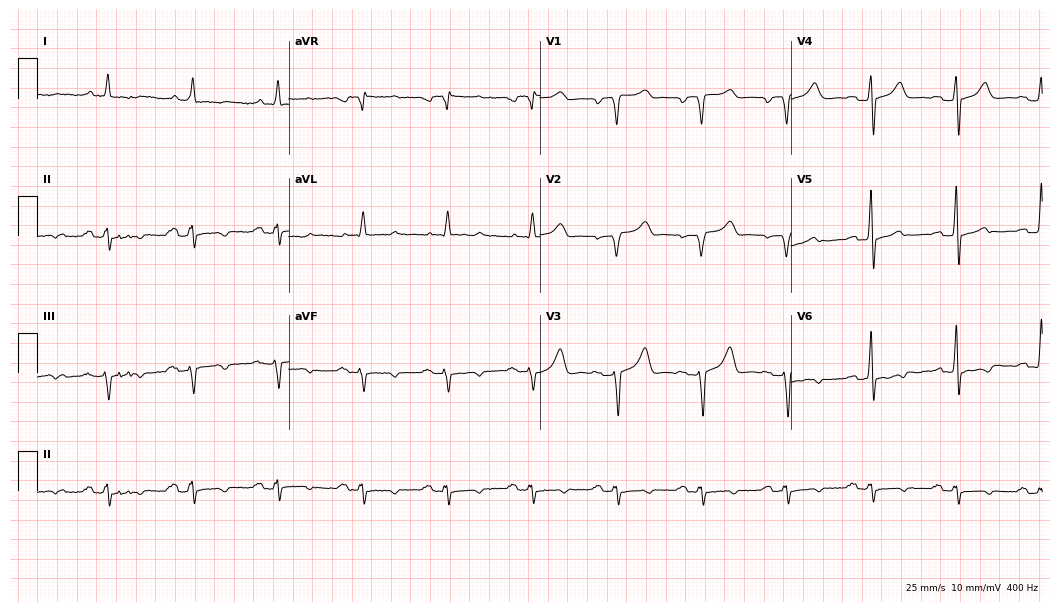
Resting 12-lead electrocardiogram (10.2-second recording at 400 Hz). Patient: an 83-year-old man. None of these six findings is recorded: first-degree AV block, right bundle branch block, left bundle branch block, sinus bradycardia, atrial fibrillation, sinus tachycardia. Only these six findings were labelled.